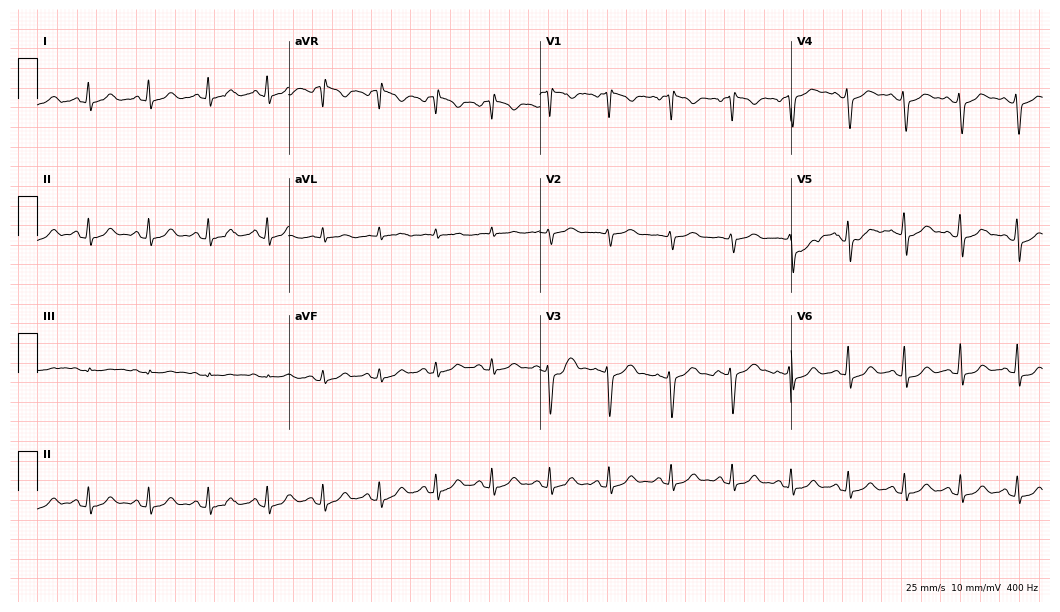
Resting 12-lead electrocardiogram (10.2-second recording at 400 Hz). Patient: a female, 29 years old. Read as a normal ECG.